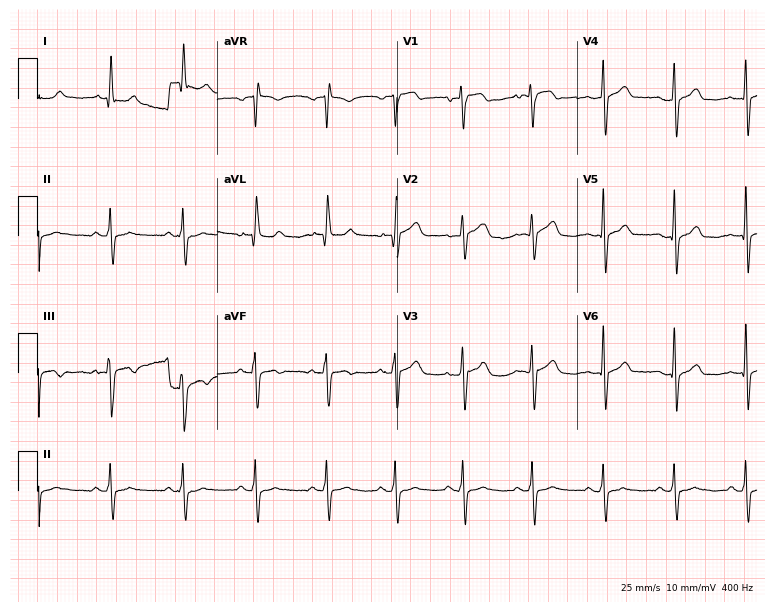
12-lead ECG from a male patient, 61 years old. No first-degree AV block, right bundle branch block, left bundle branch block, sinus bradycardia, atrial fibrillation or sinus tachycardia recorded for this tracing. Other findings, if any, are not listed.